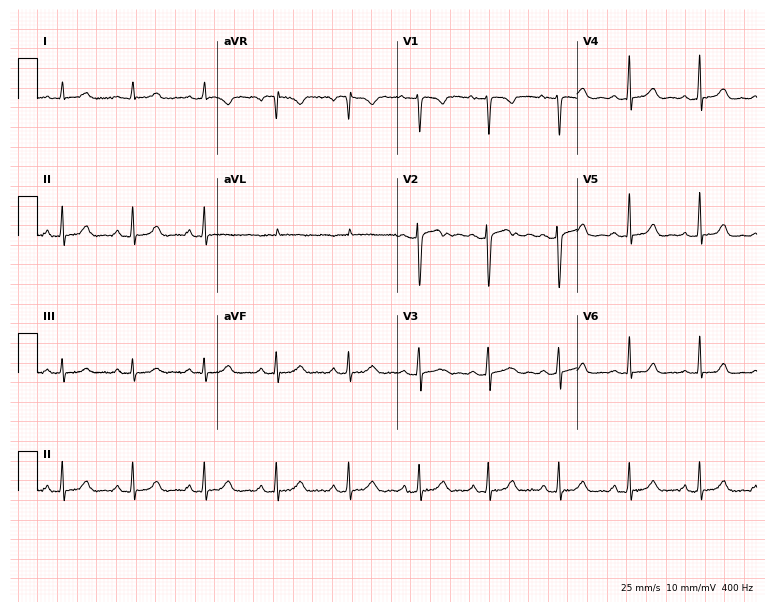
ECG — a woman, 18 years old. Labelled as a normal ECG.